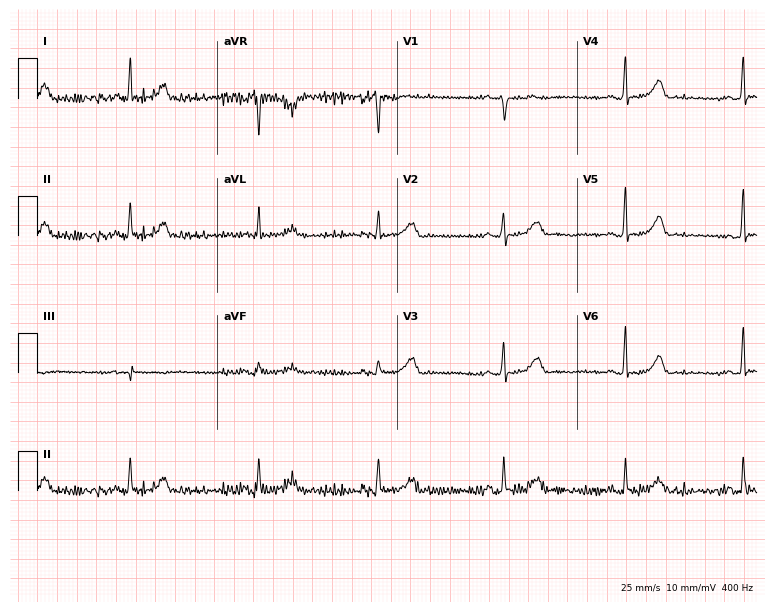
12-lead ECG from a 43-year-old woman (7.3-second recording at 400 Hz). No first-degree AV block, right bundle branch block, left bundle branch block, sinus bradycardia, atrial fibrillation or sinus tachycardia recorded for this tracing.